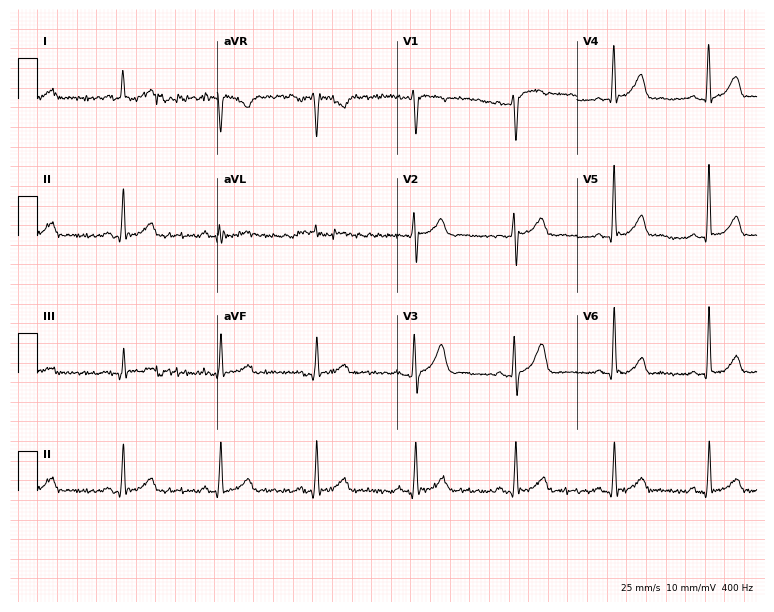
12-lead ECG from a 59-year-old man. Screened for six findings — first-degree AV block, right bundle branch block (RBBB), left bundle branch block (LBBB), sinus bradycardia, atrial fibrillation (AF), sinus tachycardia — none is recorded. Other findings, if any, are not listed.